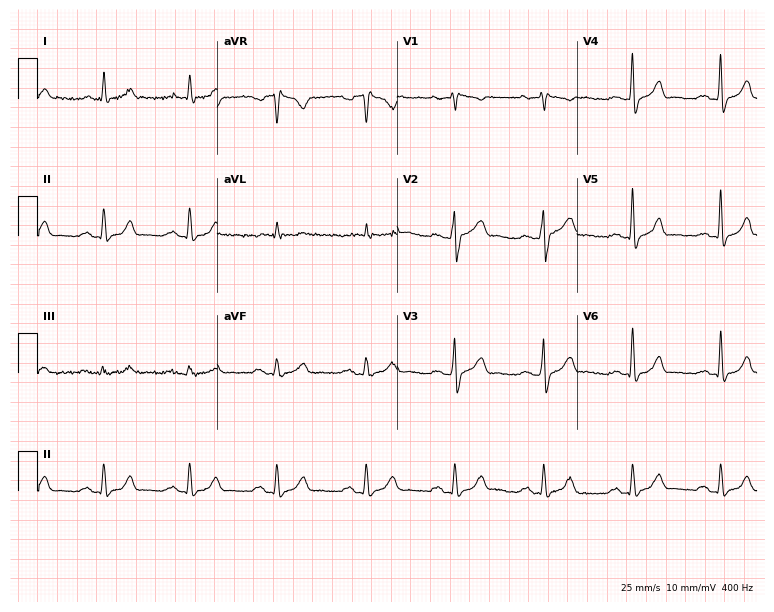
Resting 12-lead electrocardiogram. Patient: a male, 59 years old. None of these six findings is recorded: first-degree AV block, right bundle branch block, left bundle branch block, sinus bradycardia, atrial fibrillation, sinus tachycardia. Findings outside these six are not listed.